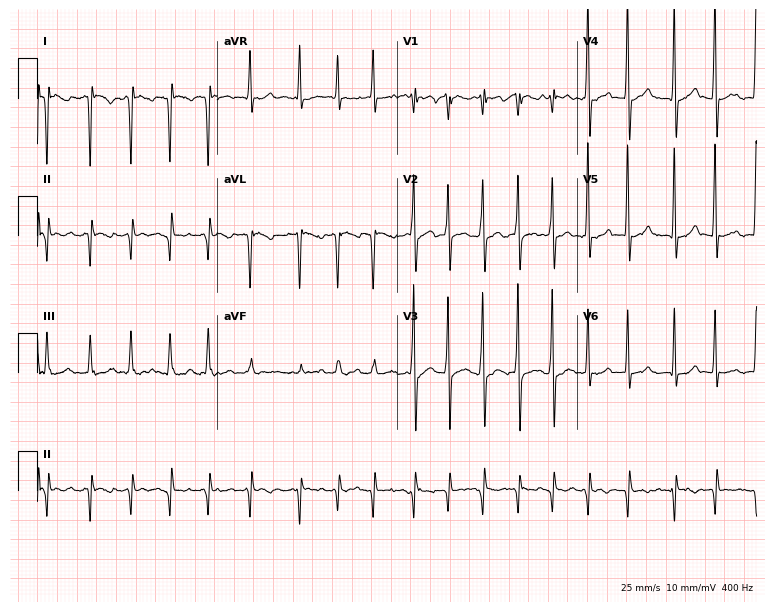
12-lead ECG from a female patient, 72 years old. No first-degree AV block, right bundle branch block (RBBB), left bundle branch block (LBBB), sinus bradycardia, atrial fibrillation (AF) or sinus tachycardia recorded for this tracing.